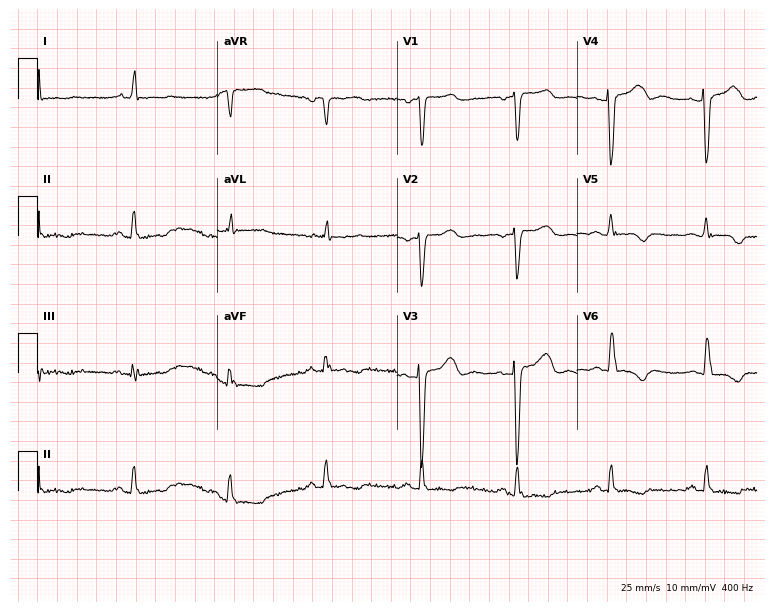
12-lead ECG from a woman, 42 years old (7.3-second recording at 400 Hz). No first-degree AV block, right bundle branch block, left bundle branch block, sinus bradycardia, atrial fibrillation or sinus tachycardia recorded for this tracing.